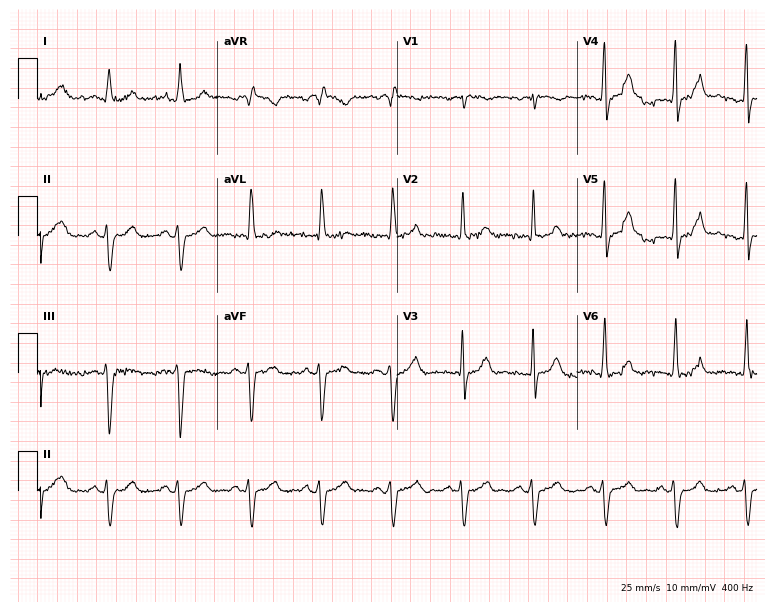
Resting 12-lead electrocardiogram. Patient: a man, 64 years old. None of these six findings is recorded: first-degree AV block, right bundle branch block, left bundle branch block, sinus bradycardia, atrial fibrillation, sinus tachycardia. Other findings, if any, are not listed.